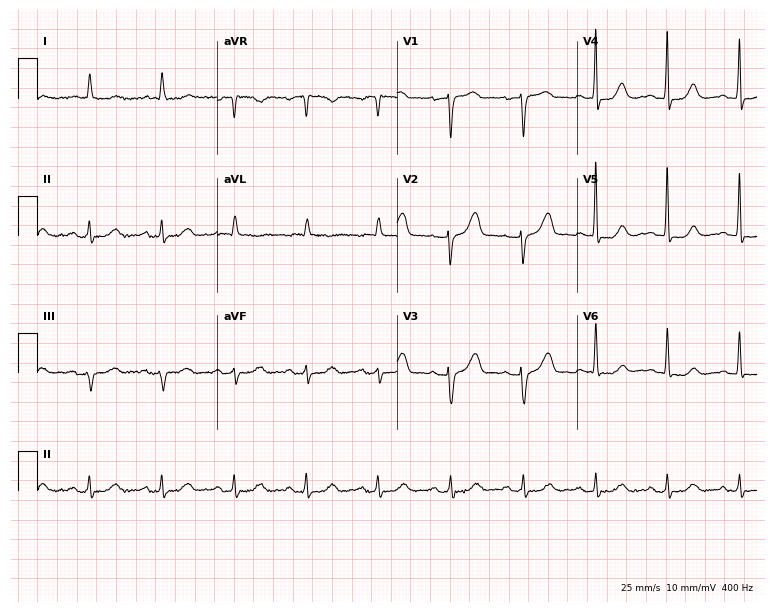
Electrocardiogram, an 82-year-old male patient. Of the six screened findings (first-degree AV block, right bundle branch block (RBBB), left bundle branch block (LBBB), sinus bradycardia, atrial fibrillation (AF), sinus tachycardia), none is recorded.